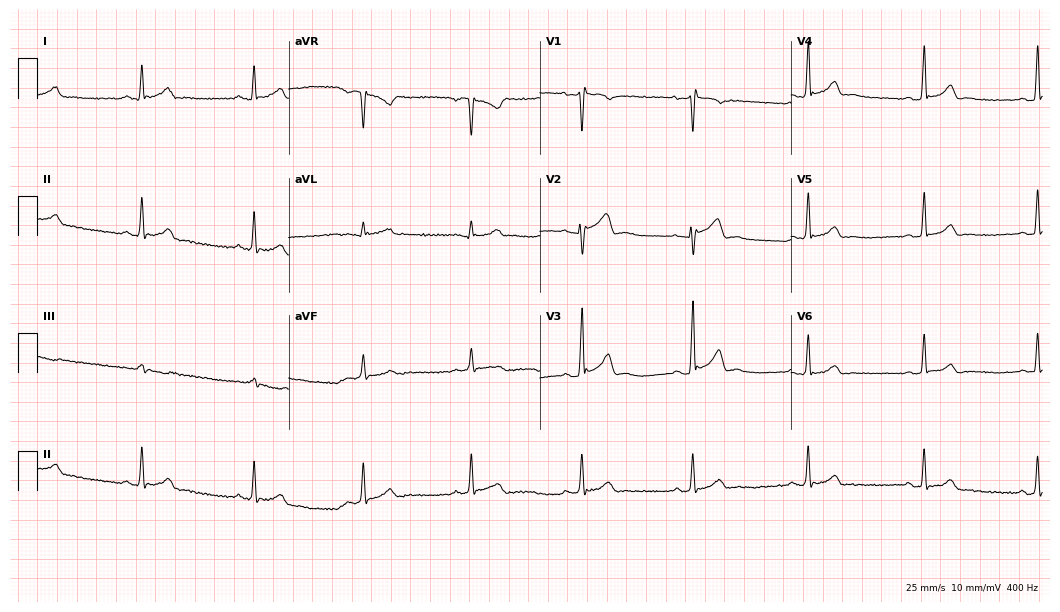
12-lead ECG from a 26-year-old male patient. Recorded interpretation: within normal limits.